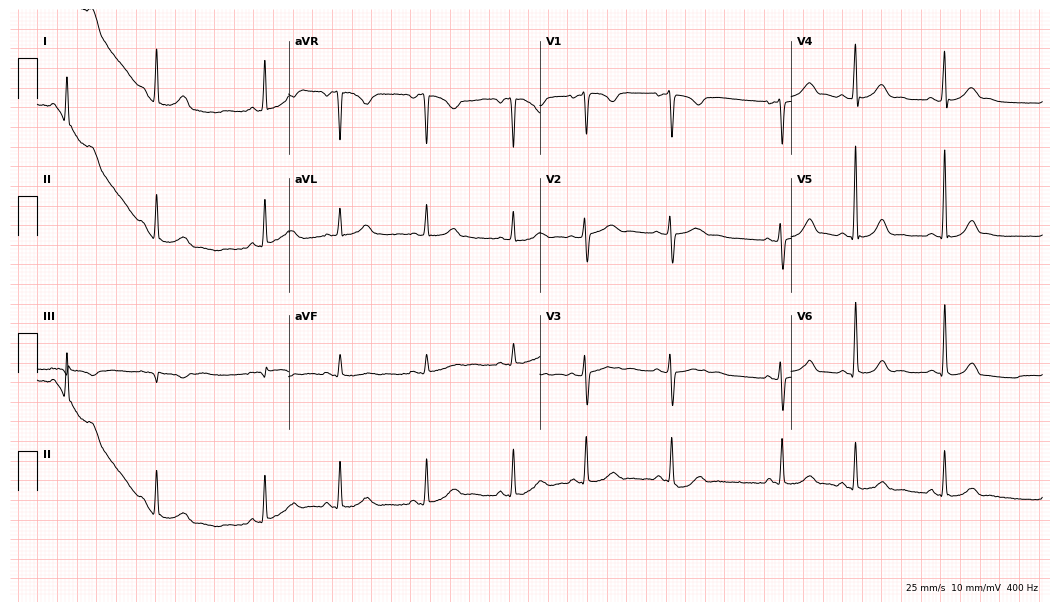
Resting 12-lead electrocardiogram. Patient: a woman, 24 years old. Read as a normal ECG.